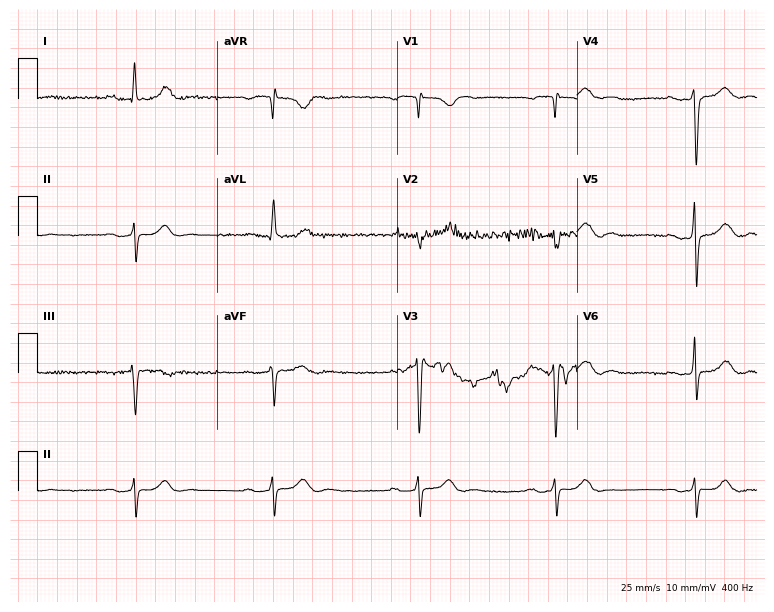
Standard 12-lead ECG recorded from a 67-year-old female patient. The tracing shows first-degree AV block, sinus bradycardia (a sinus rate of 50 beats per minute or less).